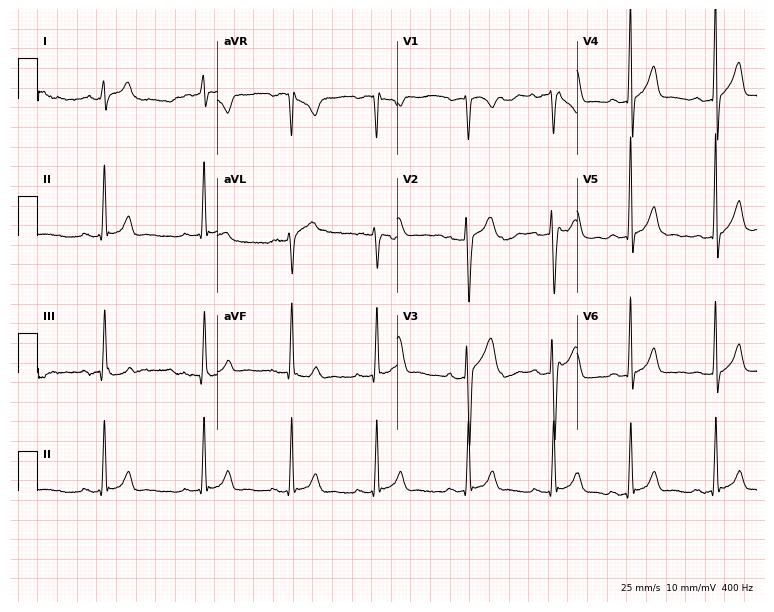
Standard 12-lead ECG recorded from a male patient, 28 years old (7.3-second recording at 400 Hz). Read as a normal ECG.